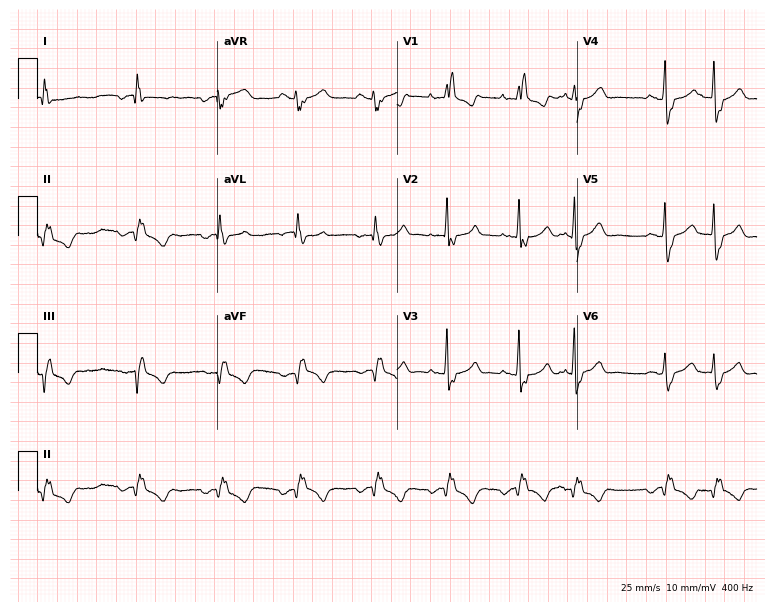
ECG — a male, 74 years old. Findings include right bundle branch block.